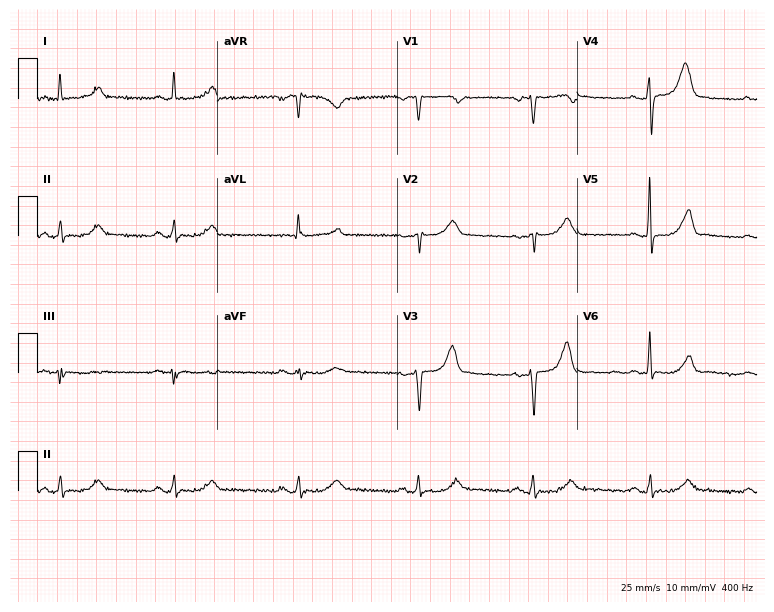
Standard 12-lead ECG recorded from a female, 63 years old (7.3-second recording at 400 Hz). The tracing shows sinus bradycardia (a sinus rate of 50 beats per minute or less).